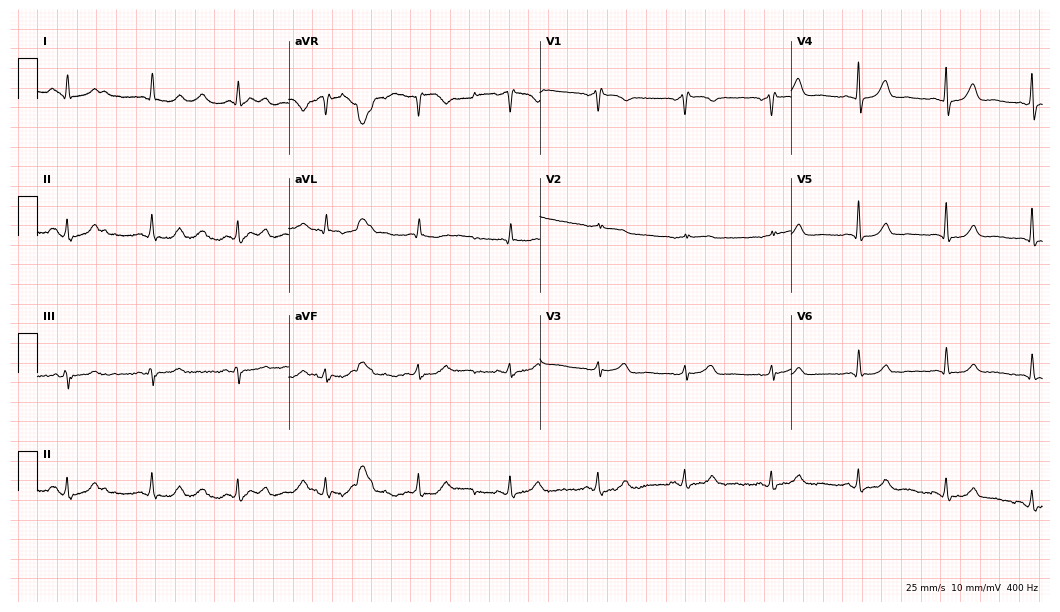
12-lead ECG from a male patient, 65 years old. Labelled as a normal ECG.